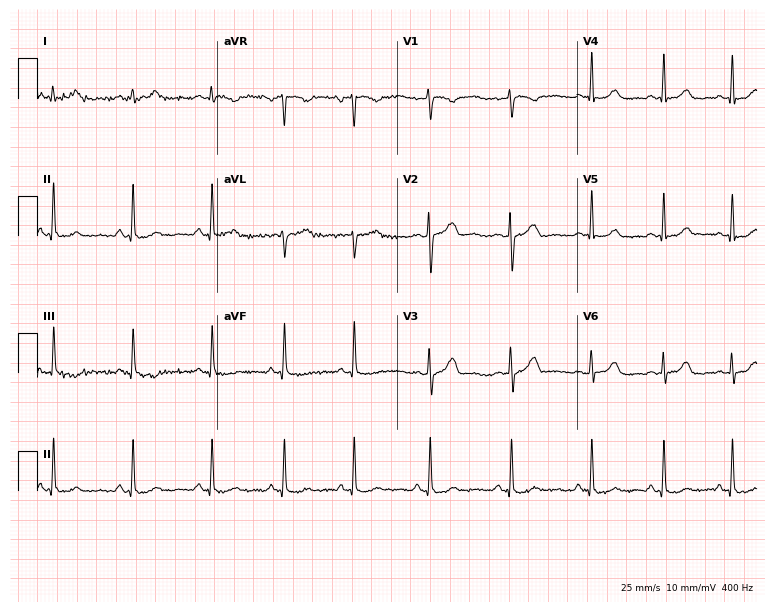
Resting 12-lead electrocardiogram (7.3-second recording at 400 Hz). Patient: a woman, 21 years old. None of these six findings is recorded: first-degree AV block, right bundle branch block, left bundle branch block, sinus bradycardia, atrial fibrillation, sinus tachycardia.